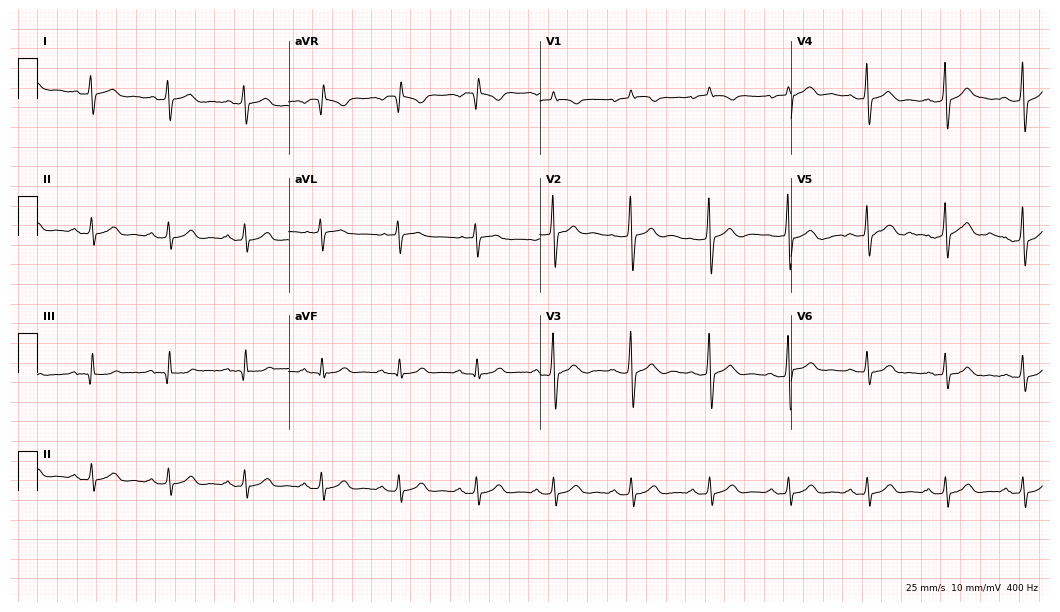
Standard 12-lead ECG recorded from a male, 65 years old. Read as a normal ECG.